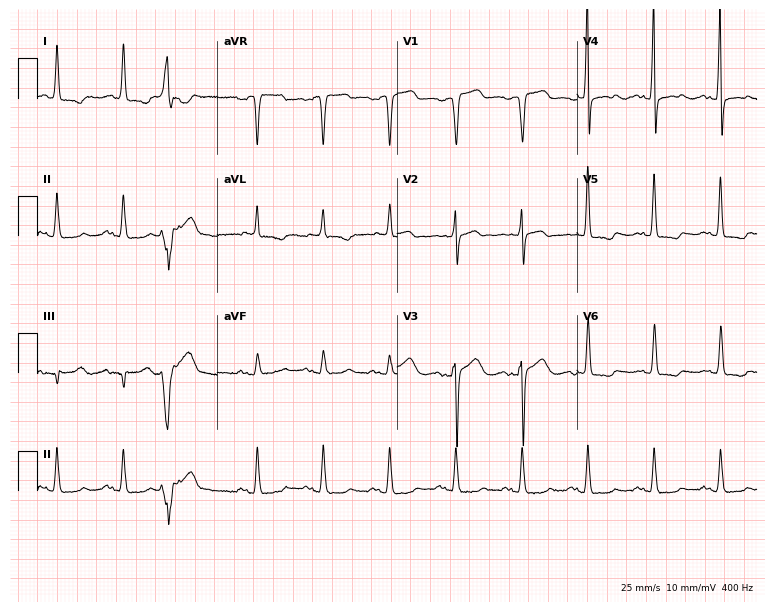
12-lead ECG from a female, 75 years old. No first-degree AV block, right bundle branch block, left bundle branch block, sinus bradycardia, atrial fibrillation or sinus tachycardia recorded for this tracing. Other findings, if any, are not listed.